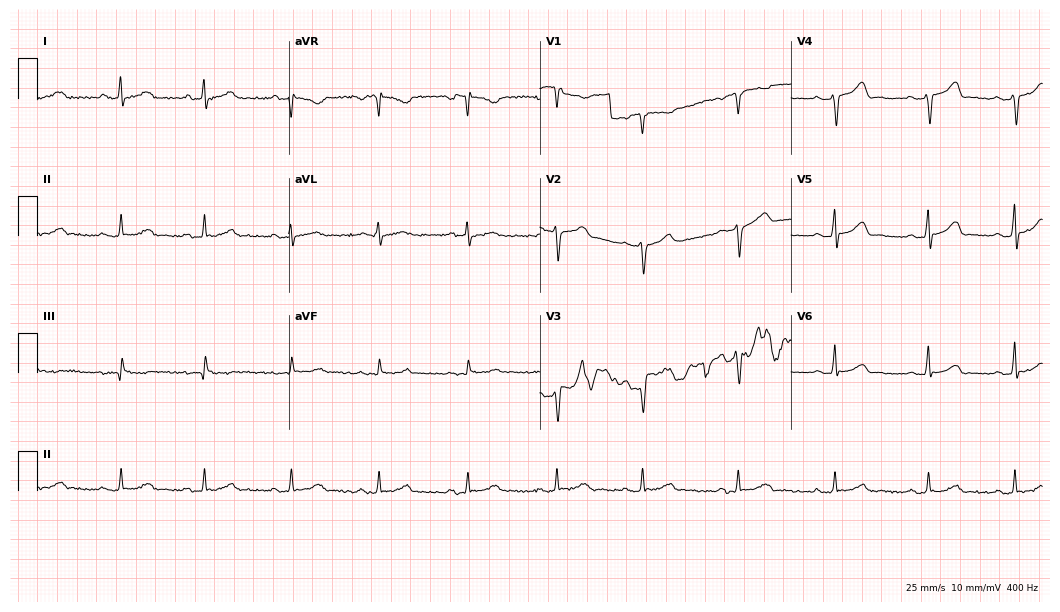
Electrocardiogram, a 39-year-old male. Overall reading on record: normal ECG.